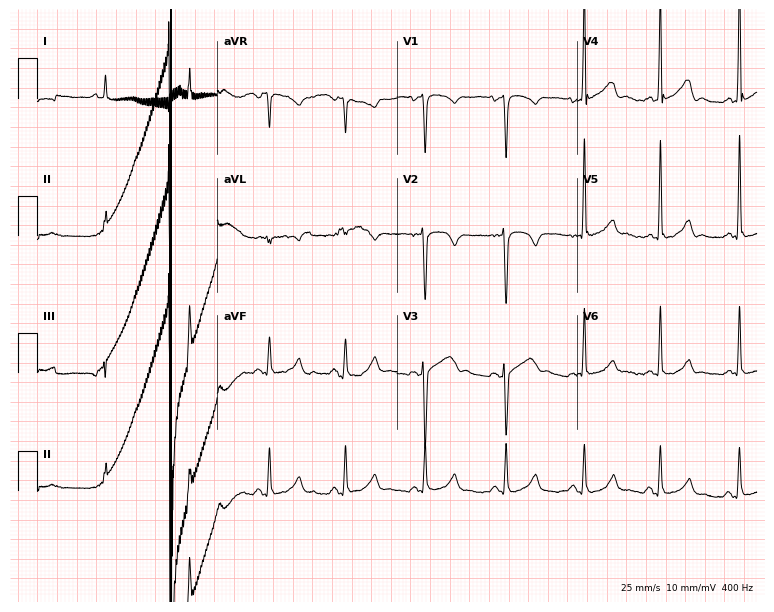
12-lead ECG (7.3-second recording at 400 Hz) from a 59-year-old man. Screened for six findings — first-degree AV block, right bundle branch block, left bundle branch block, sinus bradycardia, atrial fibrillation, sinus tachycardia — none is recorded.